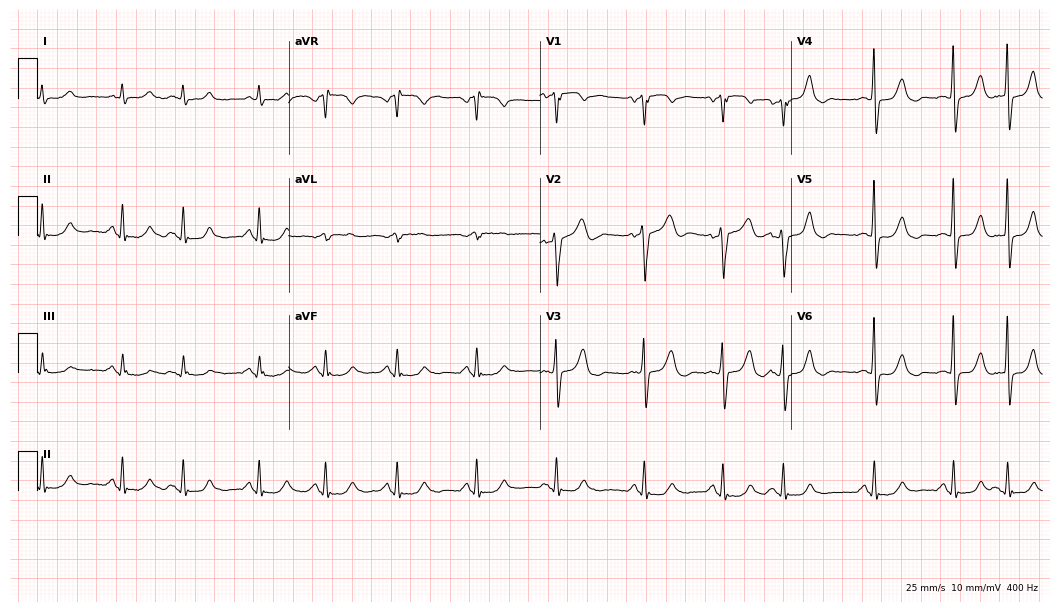
Resting 12-lead electrocardiogram (10.2-second recording at 400 Hz). Patient: a 57-year-old male. None of these six findings is recorded: first-degree AV block, right bundle branch block, left bundle branch block, sinus bradycardia, atrial fibrillation, sinus tachycardia.